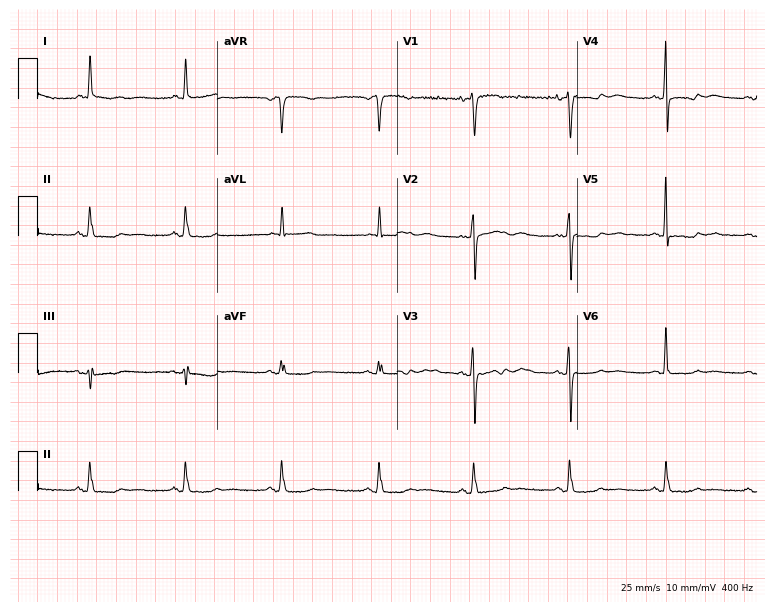
Electrocardiogram (7.3-second recording at 400 Hz), a 74-year-old female. Of the six screened findings (first-degree AV block, right bundle branch block (RBBB), left bundle branch block (LBBB), sinus bradycardia, atrial fibrillation (AF), sinus tachycardia), none is recorded. Findings outside these six are not listed.